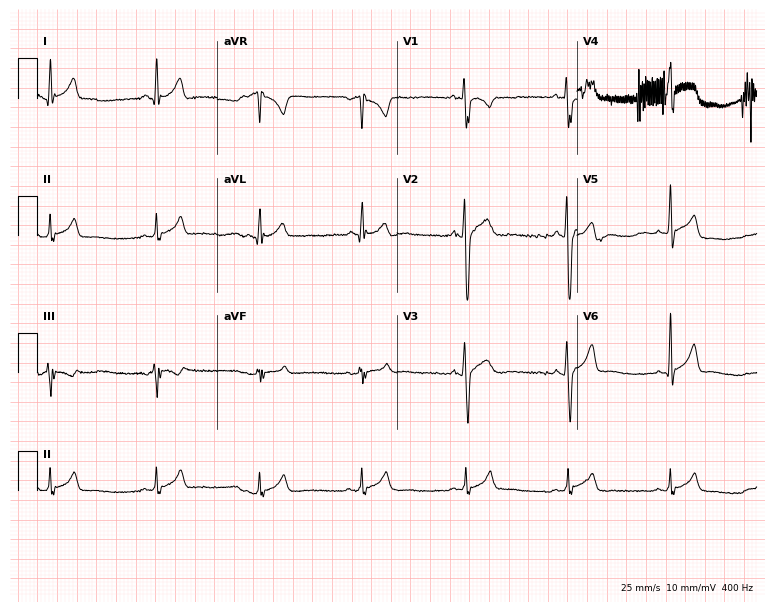
Electrocardiogram, a male patient, 17 years old. Overall reading on record: normal ECG.